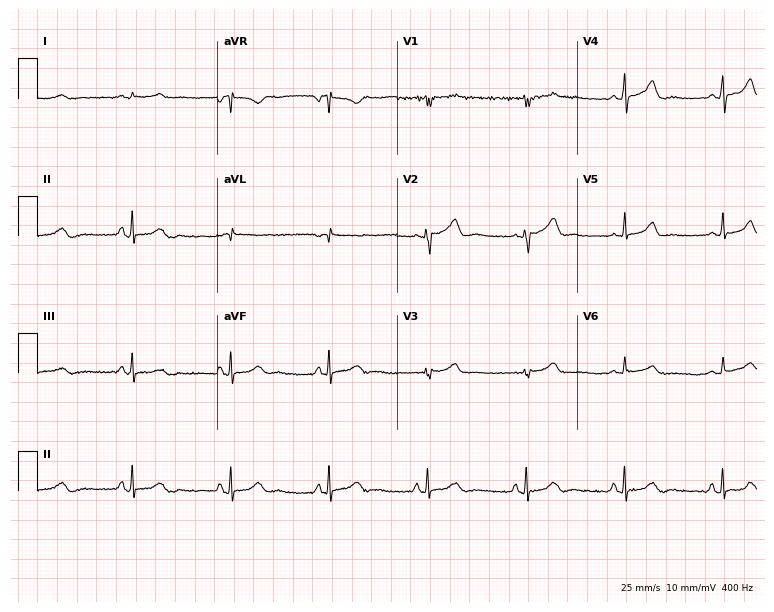
Electrocardiogram, a male, 77 years old. Overall reading on record: normal ECG.